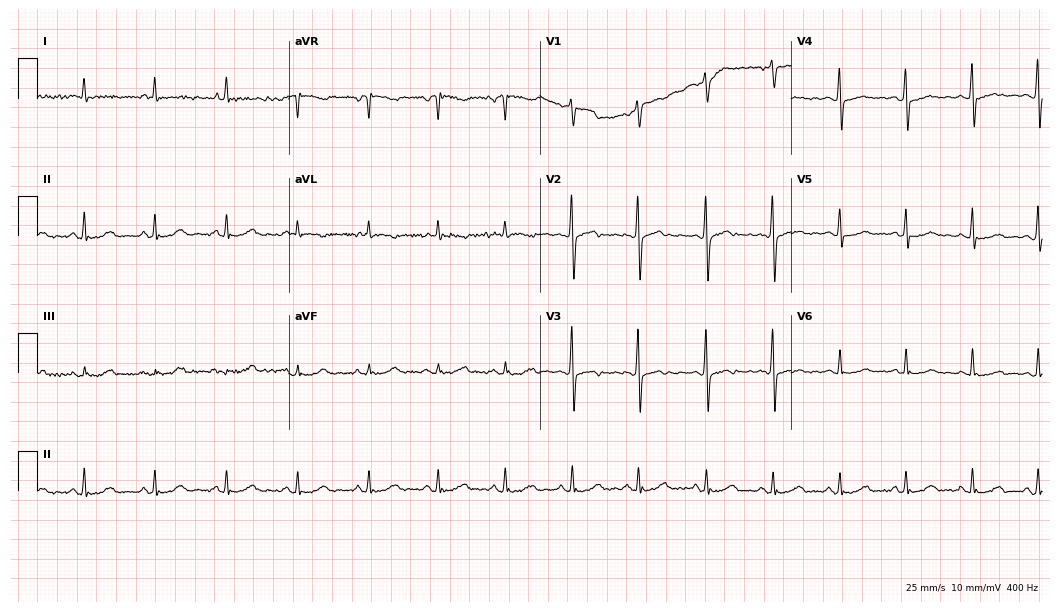
Resting 12-lead electrocardiogram (10.2-second recording at 400 Hz). Patient: a 52-year-old female. Read as a normal ECG.